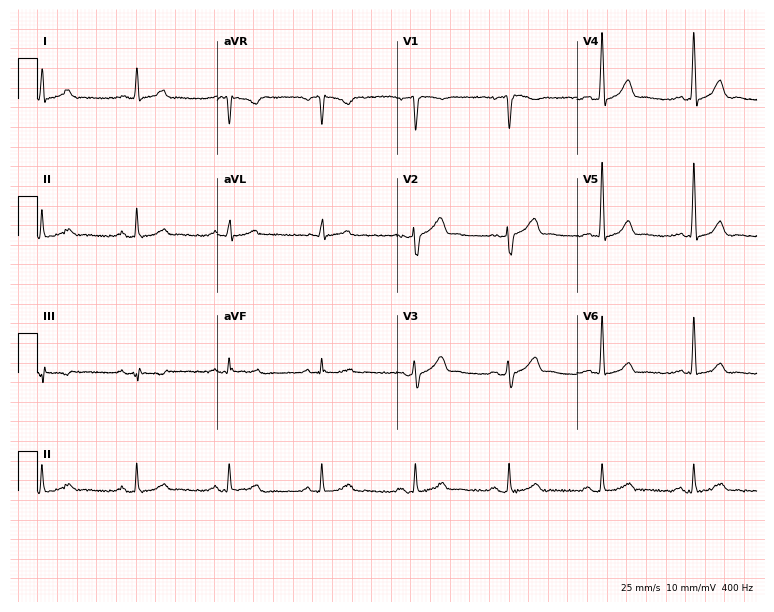
12-lead ECG from a male, 46 years old (7.3-second recording at 400 Hz). Recorded interpretation: within normal limits.